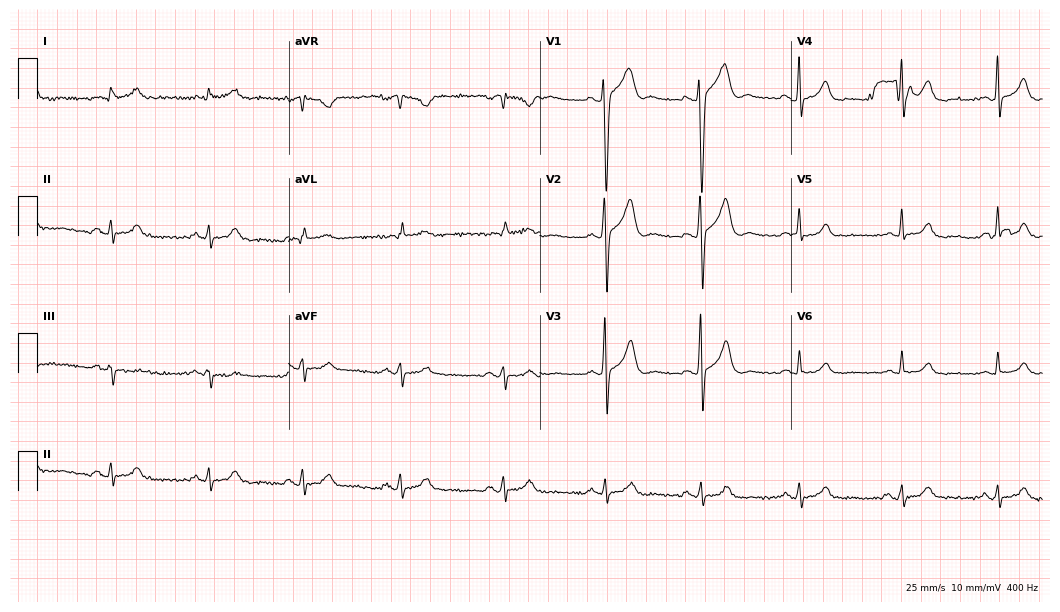
Resting 12-lead electrocardiogram (10.2-second recording at 400 Hz). Patient: a 57-year-old male. Read as a normal ECG.